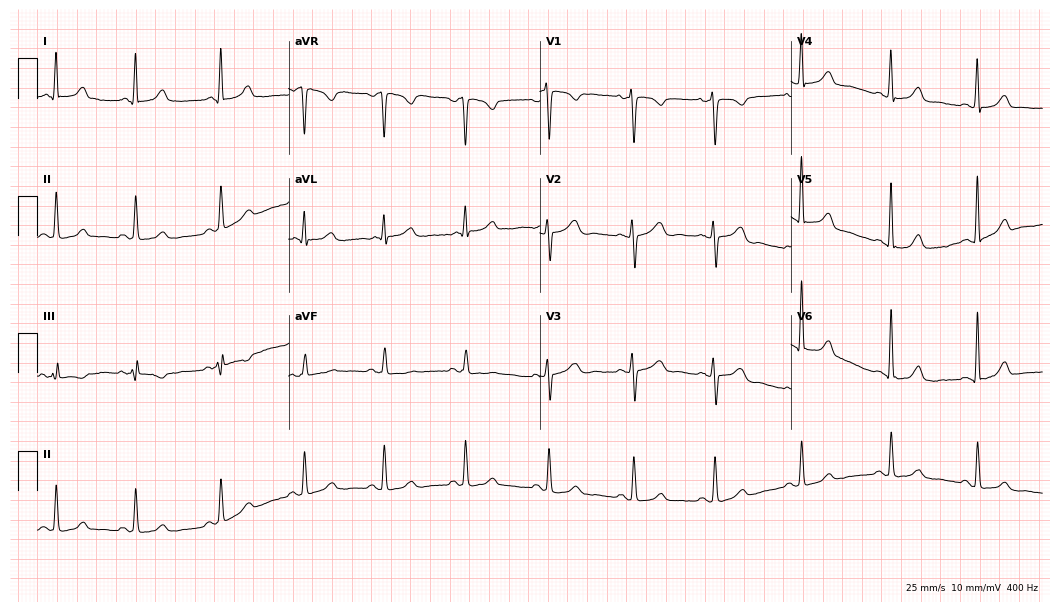
Standard 12-lead ECG recorded from a female patient, 45 years old (10.2-second recording at 400 Hz). None of these six findings is recorded: first-degree AV block, right bundle branch block, left bundle branch block, sinus bradycardia, atrial fibrillation, sinus tachycardia. Other findings, if any, are not listed.